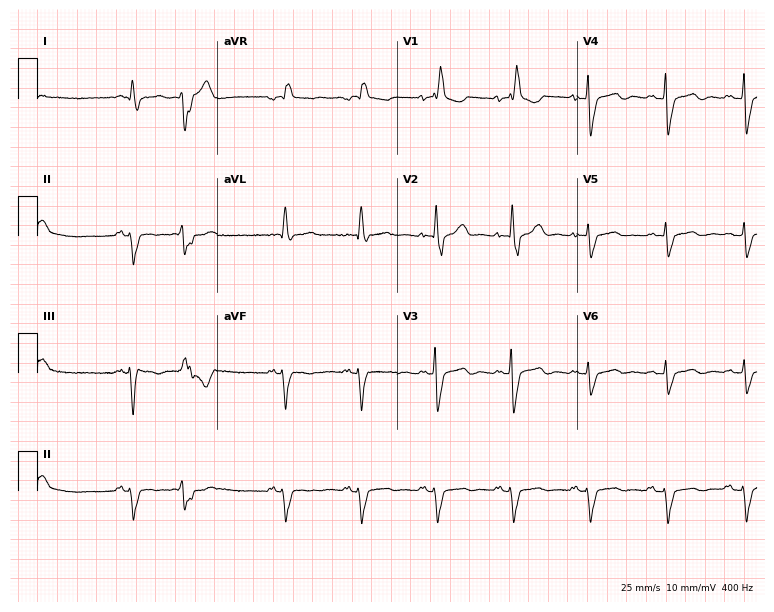
12-lead ECG (7.3-second recording at 400 Hz) from a 66-year-old man. Screened for six findings — first-degree AV block, right bundle branch block, left bundle branch block, sinus bradycardia, atrial fibrillation, sinus tachycardia — none is recorded. Only these six findings were labelled.